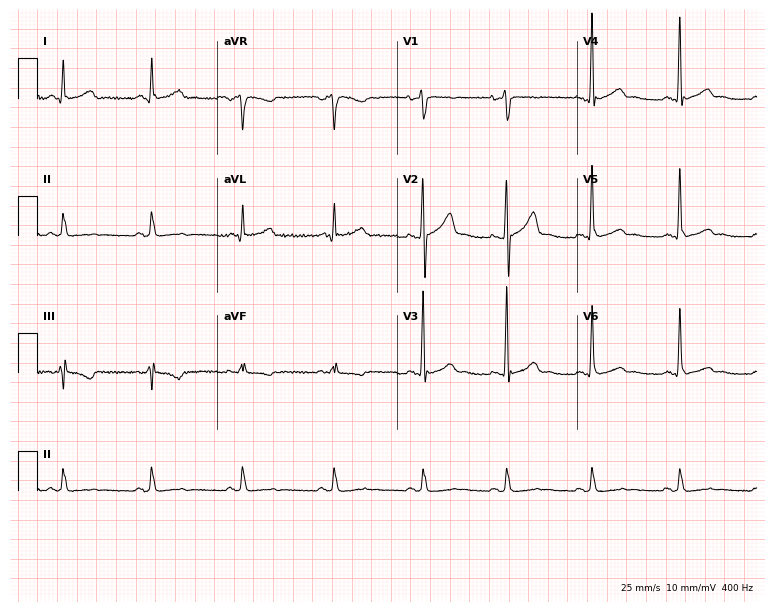
Electrocardiogram, a male, 42 years old. Overall reading on record: normal ECG.